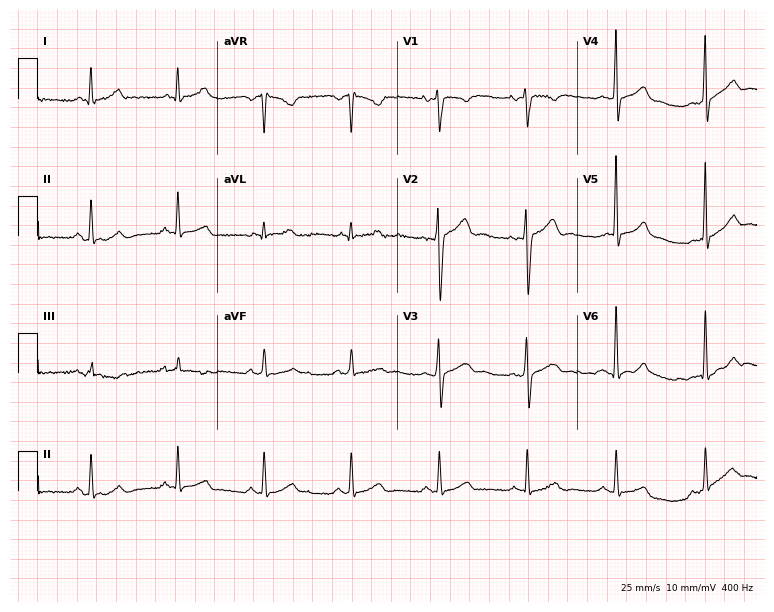
ECG — a 28-year-old man. Labelled as a normal ECG.